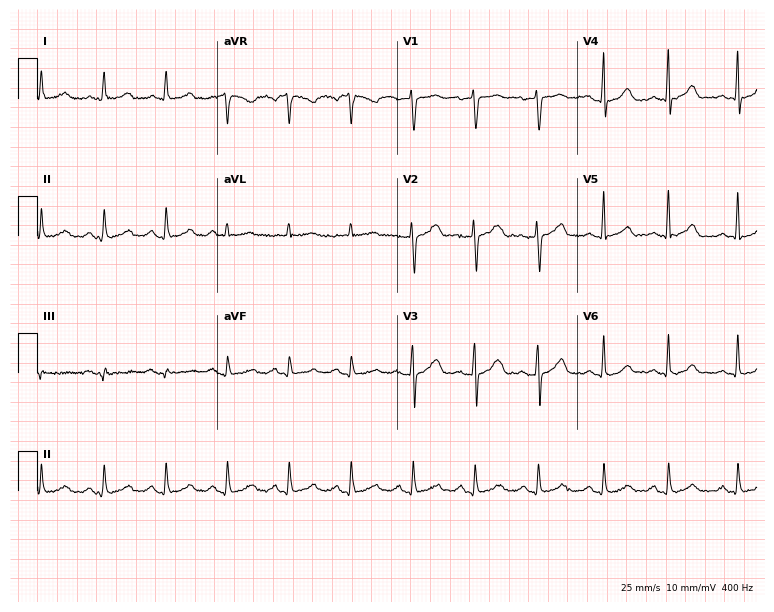
Electrocardiogram (7.3-second recording at 400 Hz), a 34-year-old woman. Overall reading on record: normal ECG.